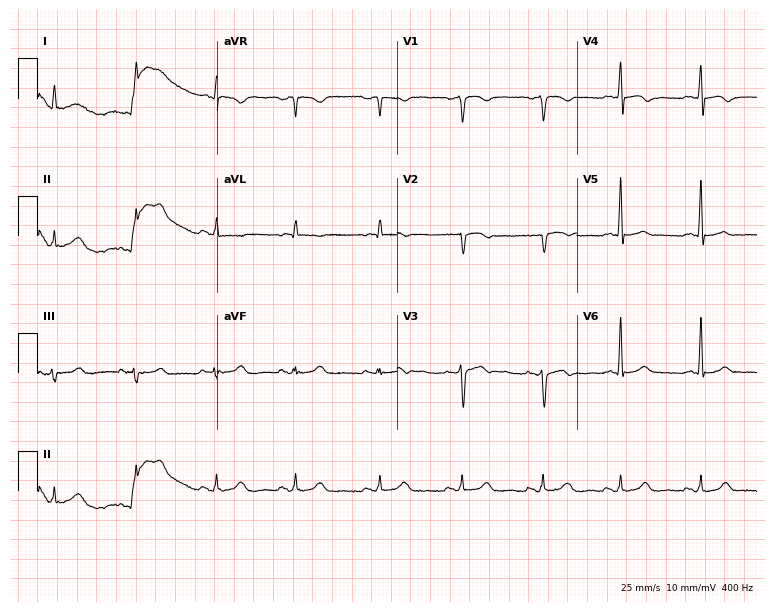
Electrocardiogram, a man, 76 years old. Of the six screened findings (first-degree AV block, right bundle branch block, left bundle branch block, sinus bradycardia, atrial fibrillation, sinus tachycardia), none is recorded. Findings outside these six are not listed.